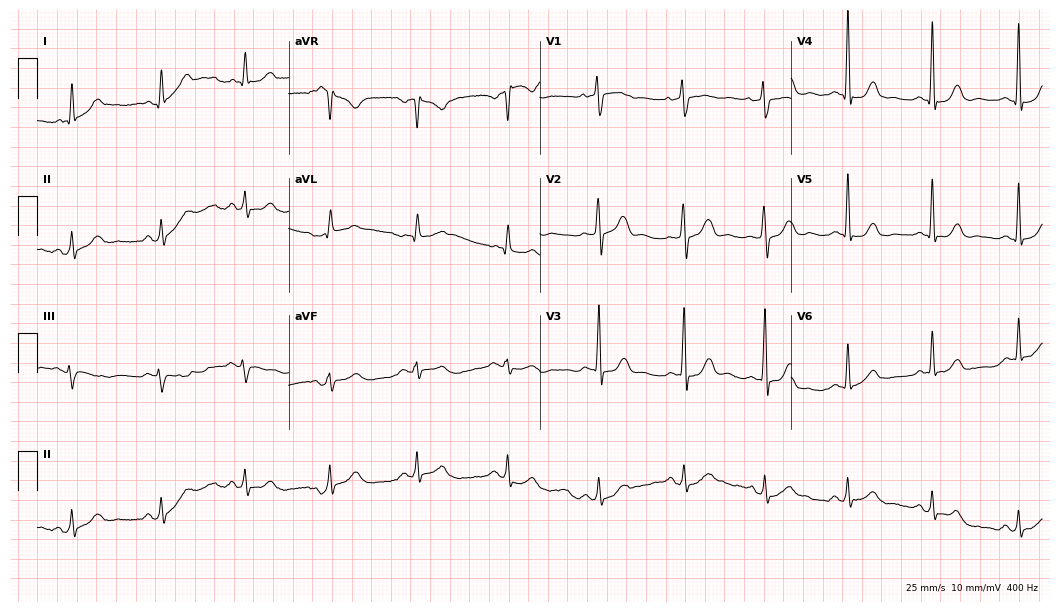
Electrocardiogram, a woman, 59 years old. Of the six screened findings (first-degree AV block, right bundle branch block (RBBB), left bundle branch block (LBBB), sinus bradycardia, atrial fibrillation (AF), sinus tachycardia), none is recorded. Other findings, if any, are not listed.